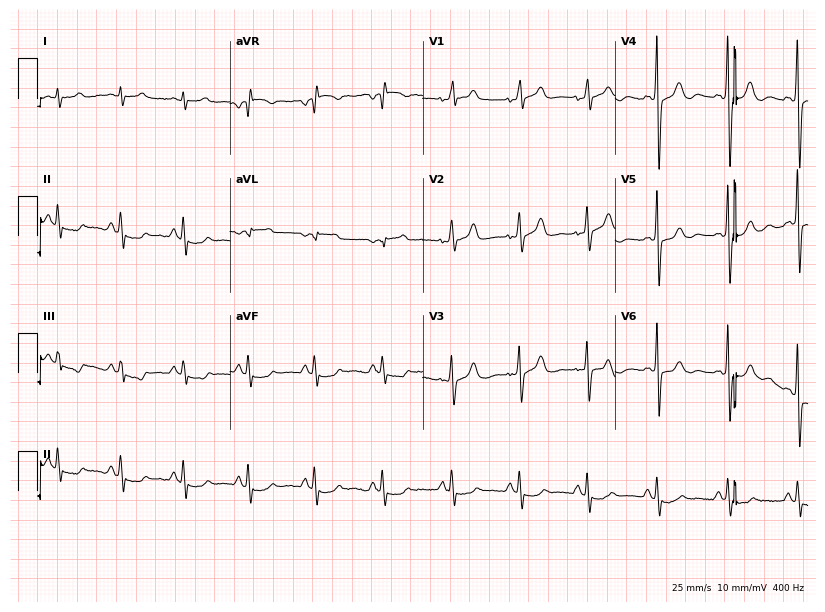
Resting 12-lead electrocardiogram. Patient: a man, 71 years old. None of these six findings is recorded: first-degree AV block, right bundle branch block (RBBB), left bundle branch block (LBBB), sinus bradycardia, atrial fibrillation (AF), sinus tachycardia. Only these six findings were labelled.